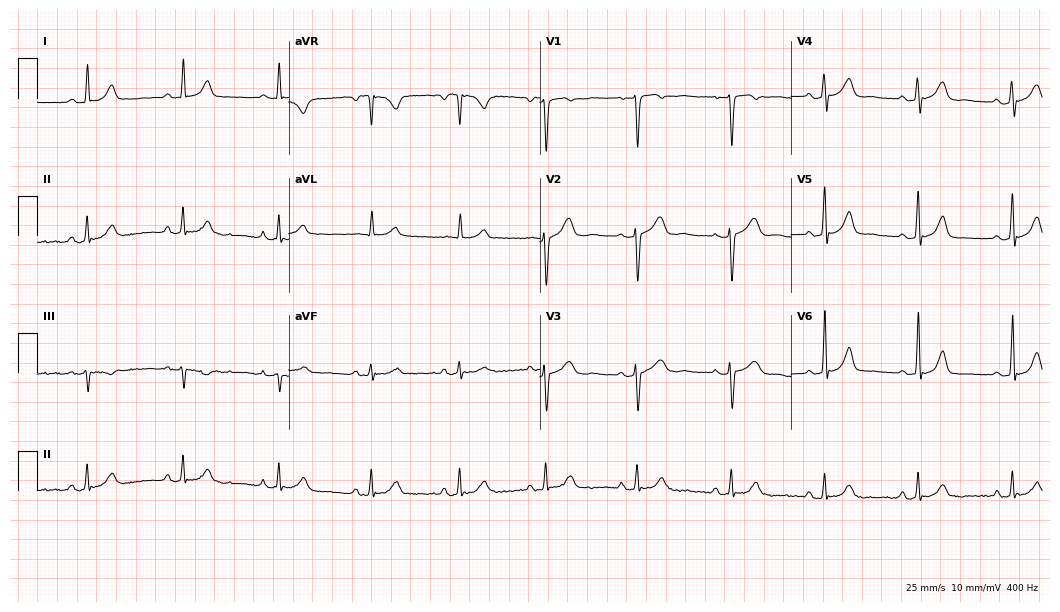
ECG (10.2-second recording at 400 Hz) — a man, 32 years old. Labelled as a normal ECG.